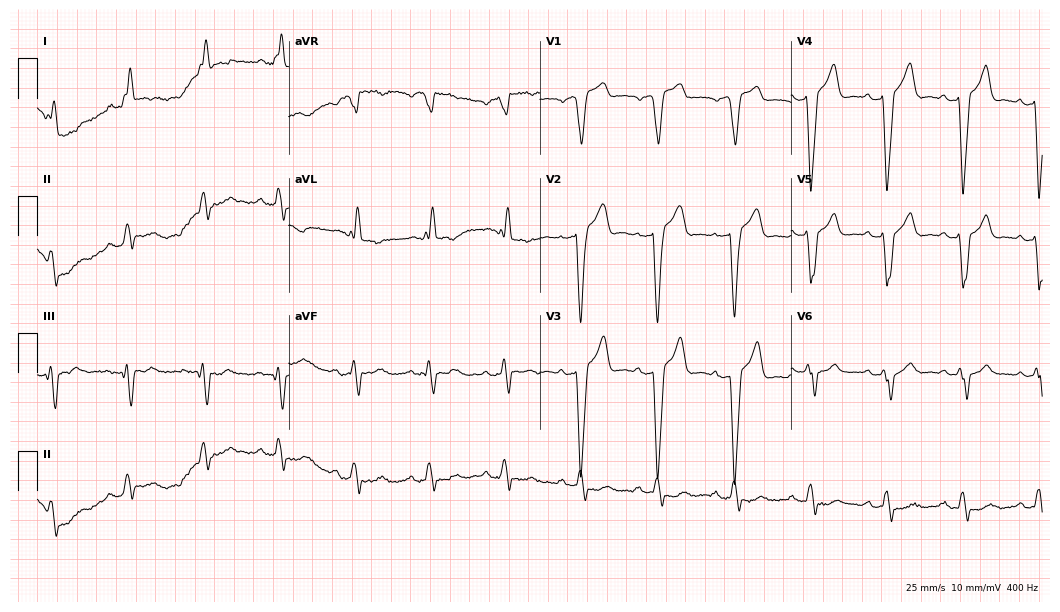
Resting 12-lead electrocardiogram. Patient: a 60-year-old male. The tracing shows left bundle branch block.